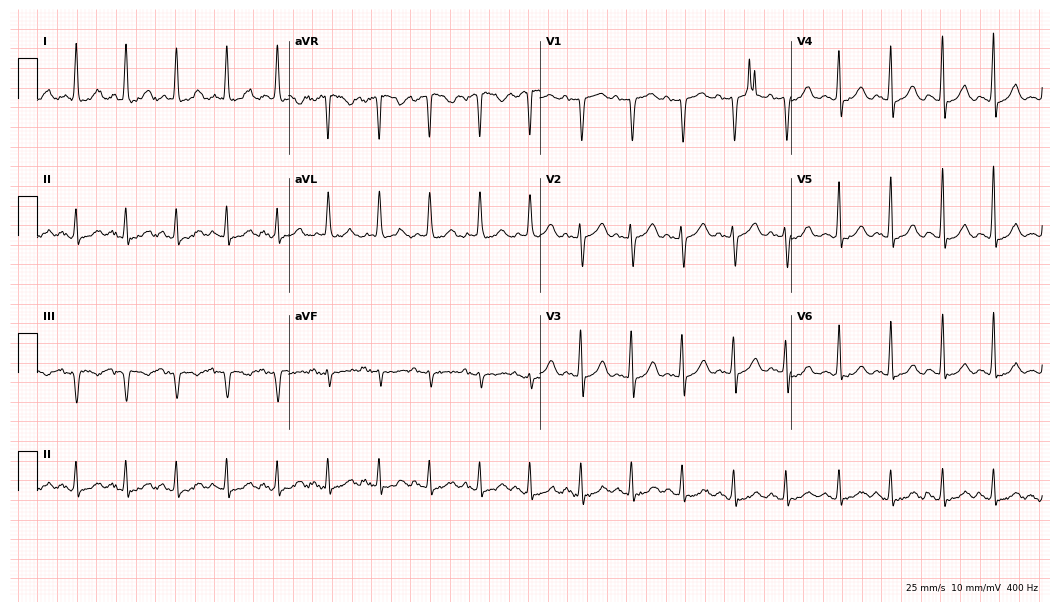
Resting 12-lead electrocardiogram. Patient: a male, 79 years old. The tracing shows sinus tachycardia (a sinus rate of 100 beats per minute or more).